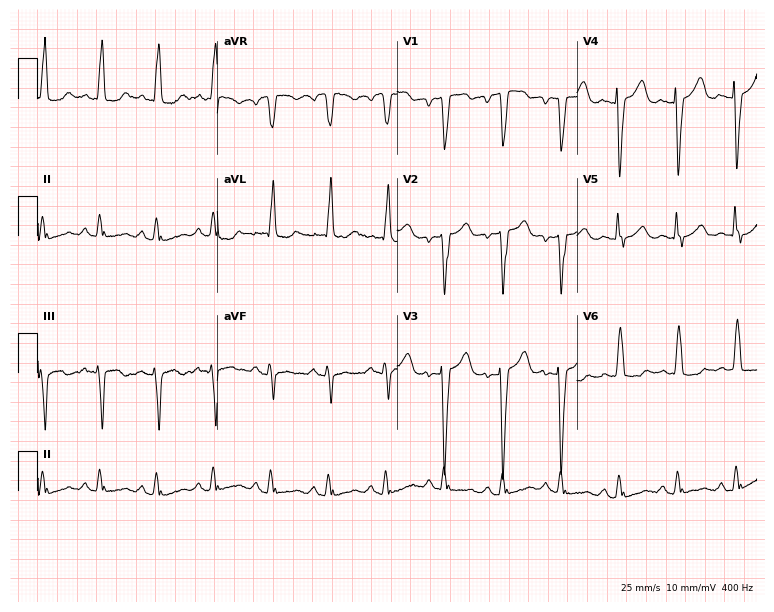
Standard 12-lead ECG recorded from a 45-year-old woman. None of these six findings is recorded: first-degree AV block, right bundle branch block (RBBB), left bundle branch block (LBBB), sinus bradycardia, atrial fibrillation (AF), sinus tachycardia.